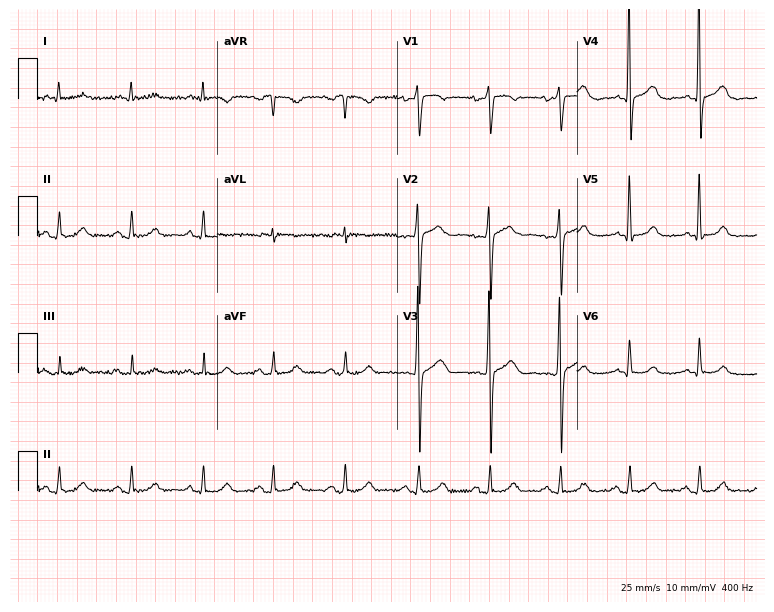
12-lead ECG from a 74-year-old male patient. Labelled as a normal ECG.